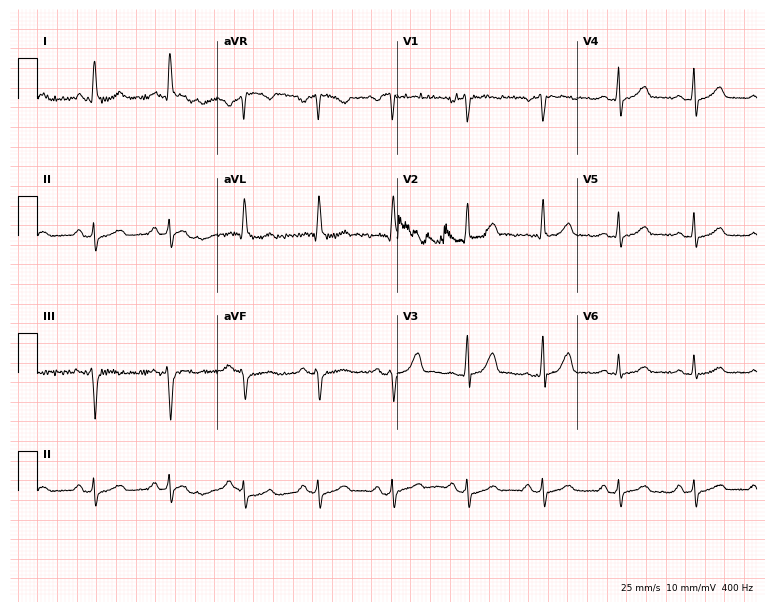
12-lead ECG from a female, 54 years old. Recorded interpretation: within normal limits.